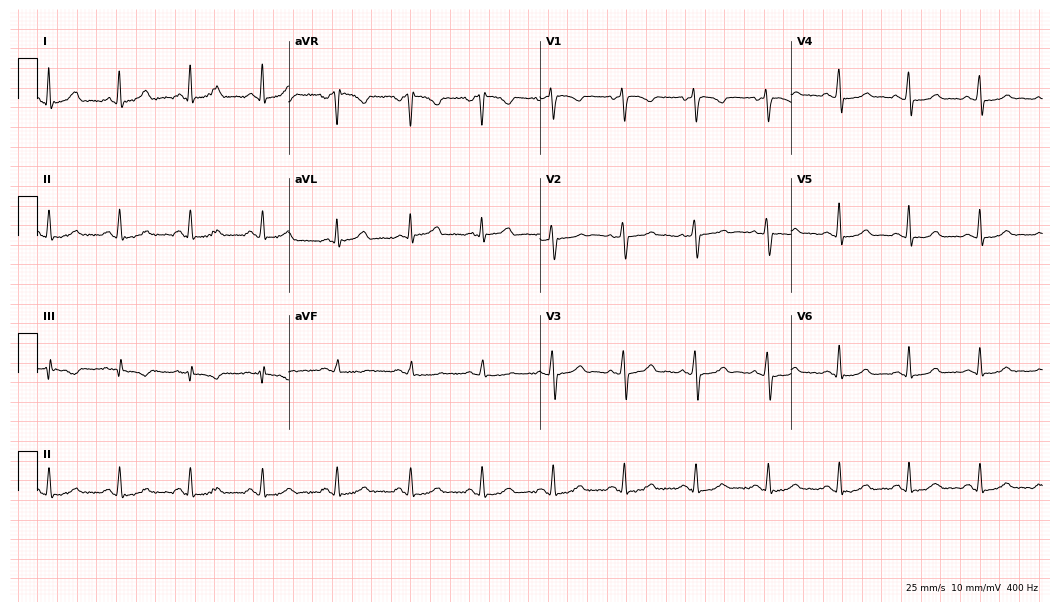
Standard 12-lead ECG recorded from a female, 39 years old (10.2-second recording at 400 Hz). Read as a normal ECG.